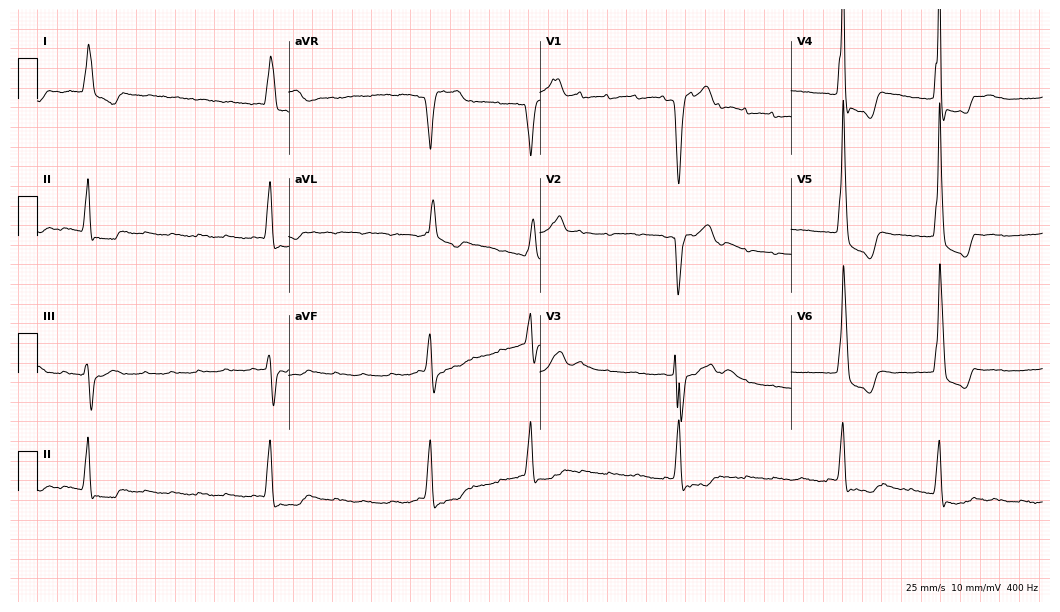
Electrocardiogram (10.2-second recording at 400 Hz), a female, 76 years old. Interpretation includes atrial fibrillation.